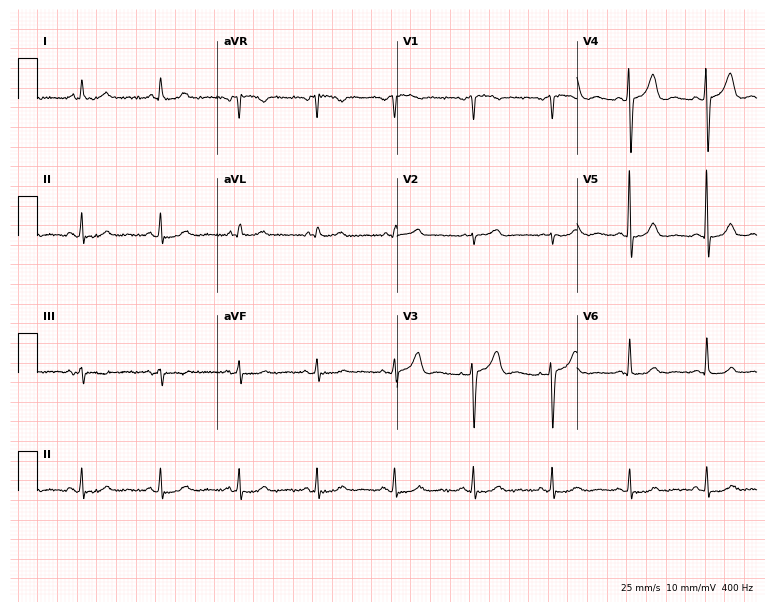
Electrocardiogram, a male, 70 years old. Of the six screened findings (first-degree AV block, right bundle branch block, left bundle branch block, sinus bradycardia, atrial fibrillation, sinus tachycardia), none is recorded. Only these six findings were labelled.